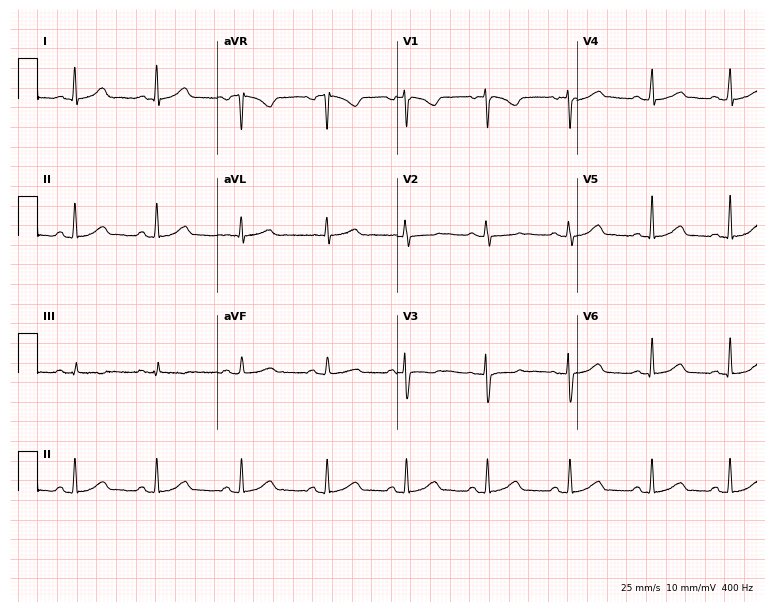
Electrocardiogram (7.3-second recording at 400 Hz), a 30-year-old female. Overall reading on record: normal ECG.